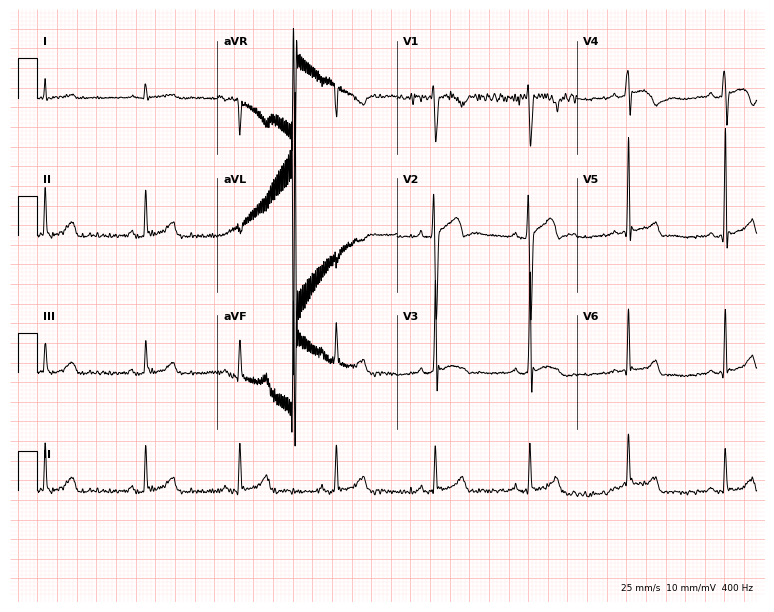
Resting 12-lead electrocardiogram (7.3-second recording at 400 Hz). Patient: a male, 25 years old. None of these six findings is recorded: first-degree AV block, right bundle branch block, left bundle branch block, sinus bradycardia, atrial fibrillation, sinus tachycardia.